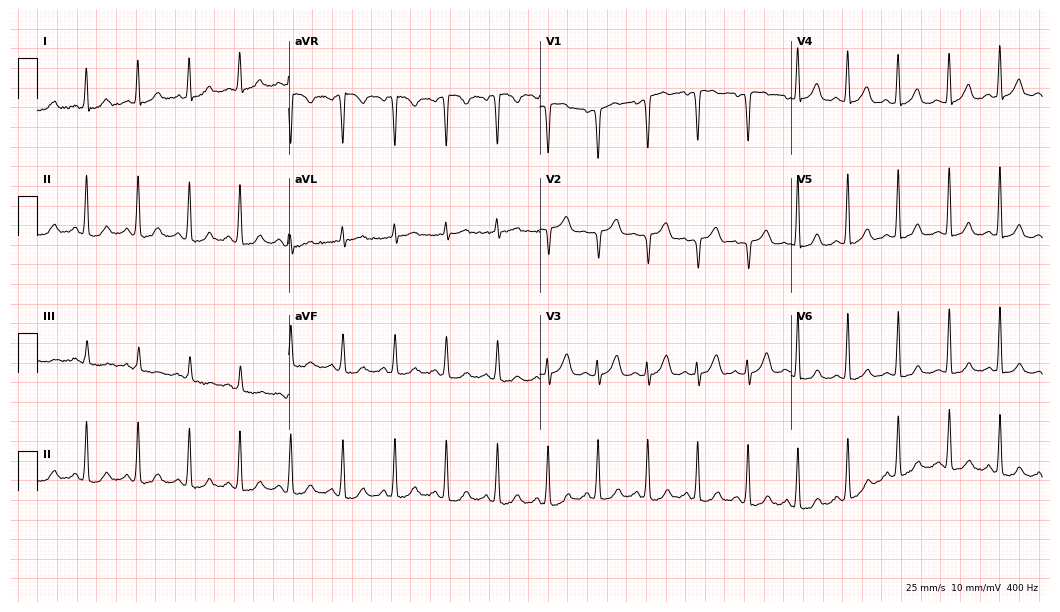
Electrocardiogram, a 36-year-old woman. Interpretation includes sinus tachycardia (a sinus rate of 100 beats per minute or more).